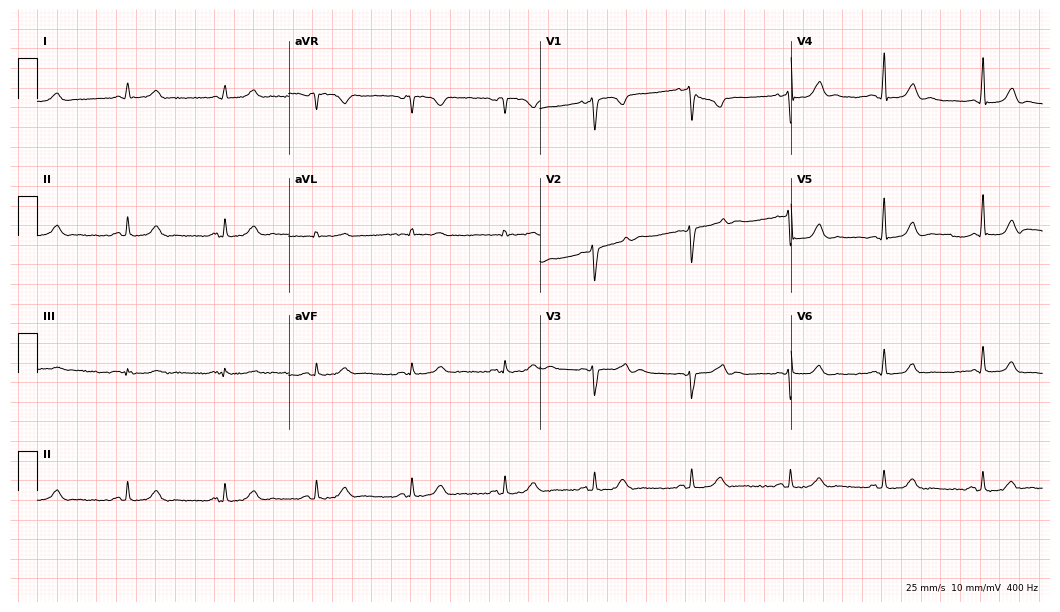
12-lead ECG from a female, 34 years old. No first-degree AV block, right bundle branch block, left bundle branch block, sinus bradycardia, atrial fibrillation or sinus tachycardia recorded for this tracing. Only these six findings were labelled.